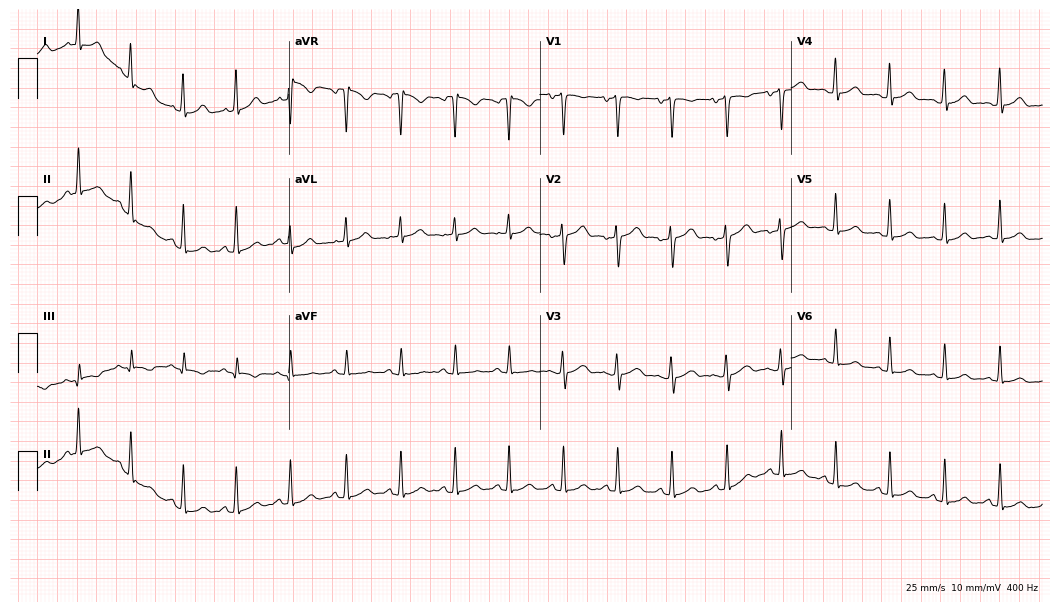
Resting 12-lead electrocardiogram (10.2-second recording at 400 Hz). Patient: a female, 30 years old. The tracing shows sinus tachycardia (a sinus rate of 100 beats per minute or more).